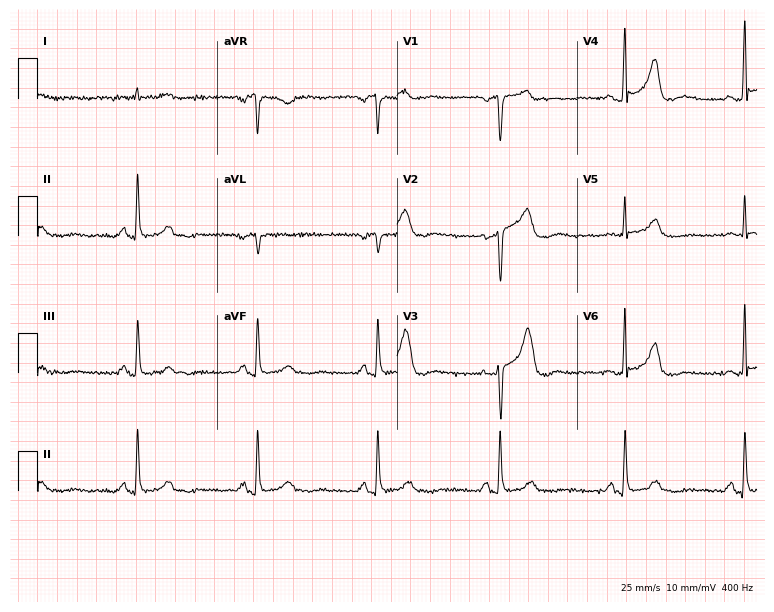
Resting 12-lead electrocardiogram (7.3-second recording at 400 Hz). Patient: an 84-year-old man. The tracing shows sinus bradycardia (a sinus rate of 50 beats per minute or less).